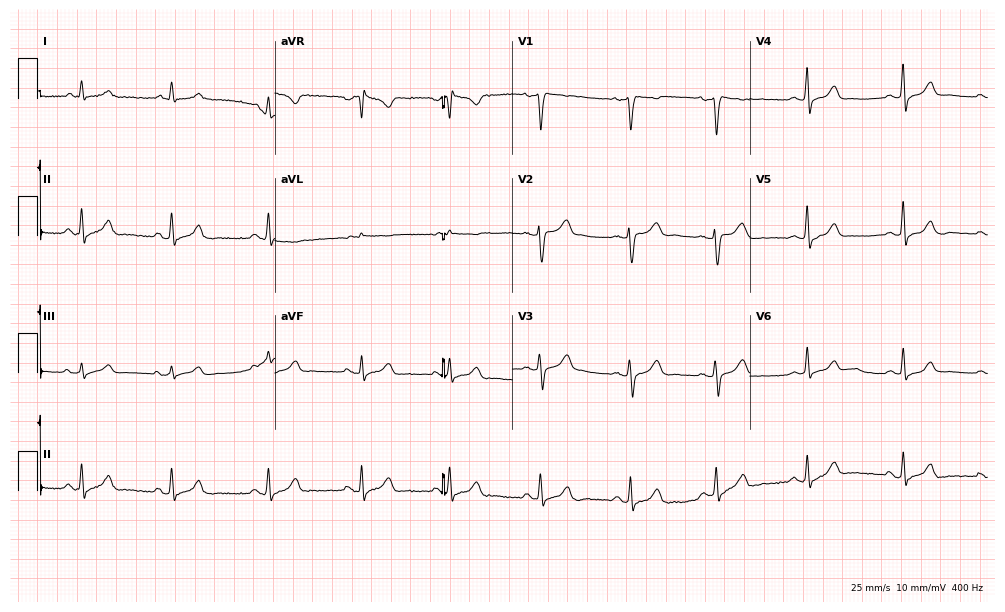
Electrocardiogram, a woman, 38 years old. Overall reading on record: normal ECG.